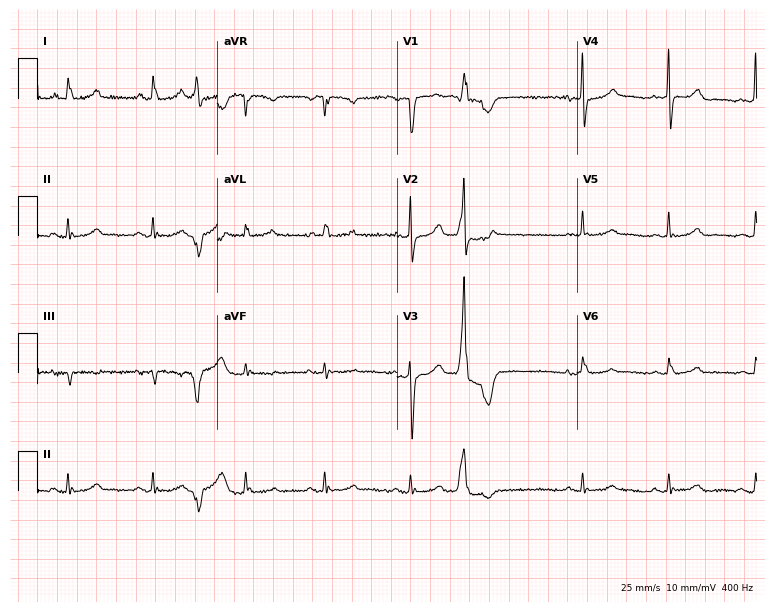
12-lead ECG from a 76-year-old woman. No first-degree AV block, right bundle branch block (RBBB), left bundle branch block (LBBB), sinus bradycardia, atrial fibrillation (AF) or sinus tachycardia recorded for this tracing.